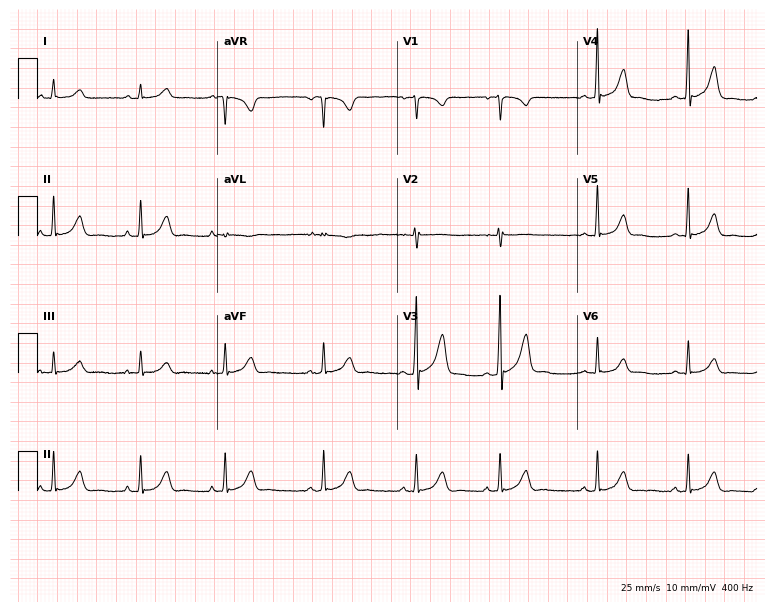
Electrocardiogram (7.3-second recording at 400 Hz), a 20-year-old woman. Overall reading on record: normal ECG.